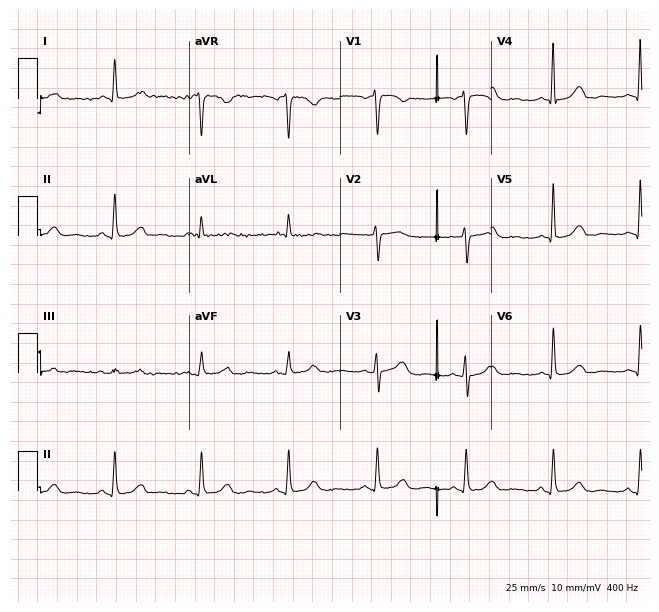
Electrocardiogram, a woman, 77 years old. Overall reading on record: normal ECG.